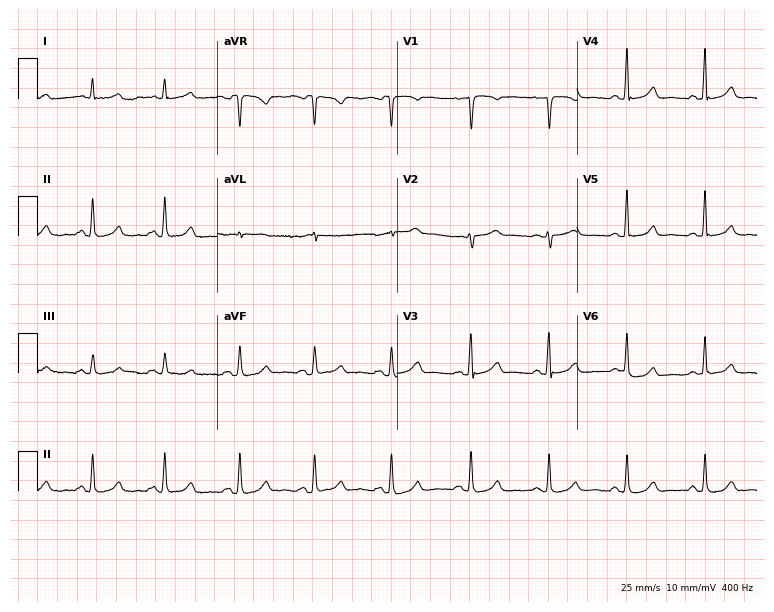
12-lead ECG from a 51-year-old female patient. Screened for six findings — first-degree AV block, right bundle branch block (RBBB), left bundle branch block (LBBB), sinus bradycardia, atrial fibrillation (AF), sinus tachycardia — none is recorded.